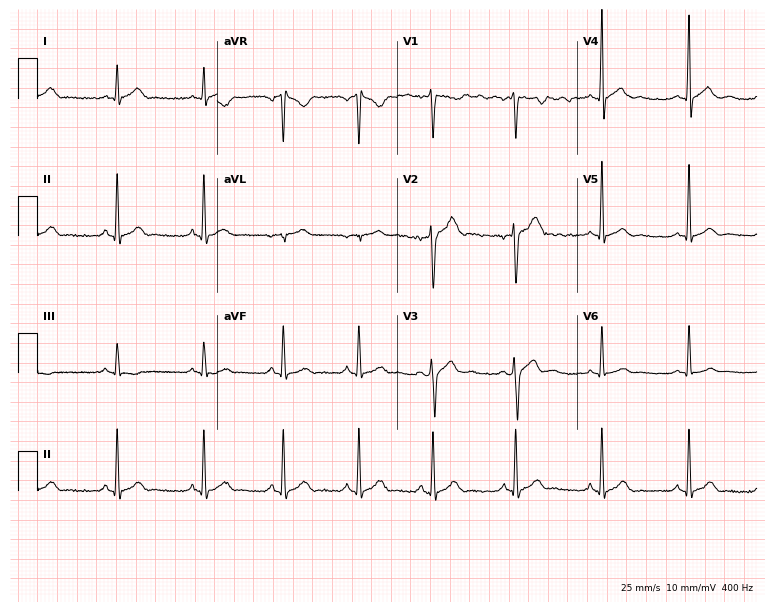
Standard 12-lead ECG recorded from a 28-year-old man. Read as a normal ECG.